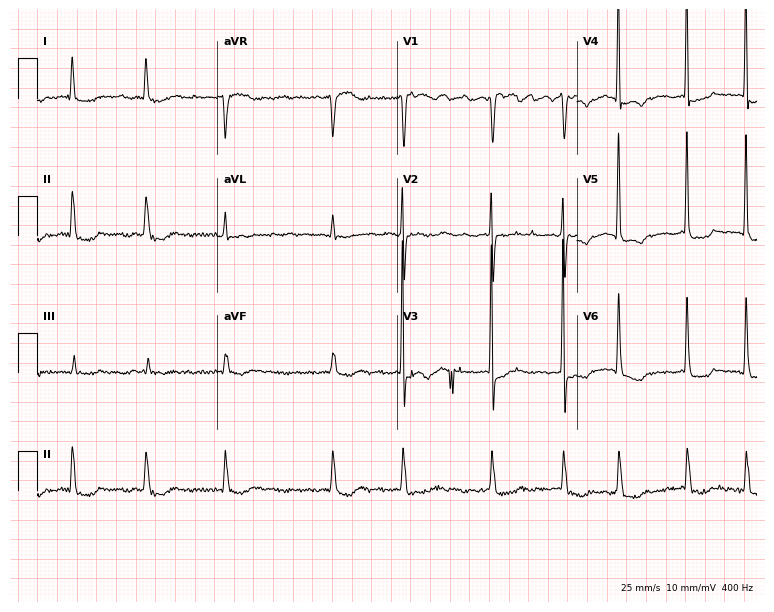
12-lead ECG from an 85-year-old woman. Shows atrial fibrillation.